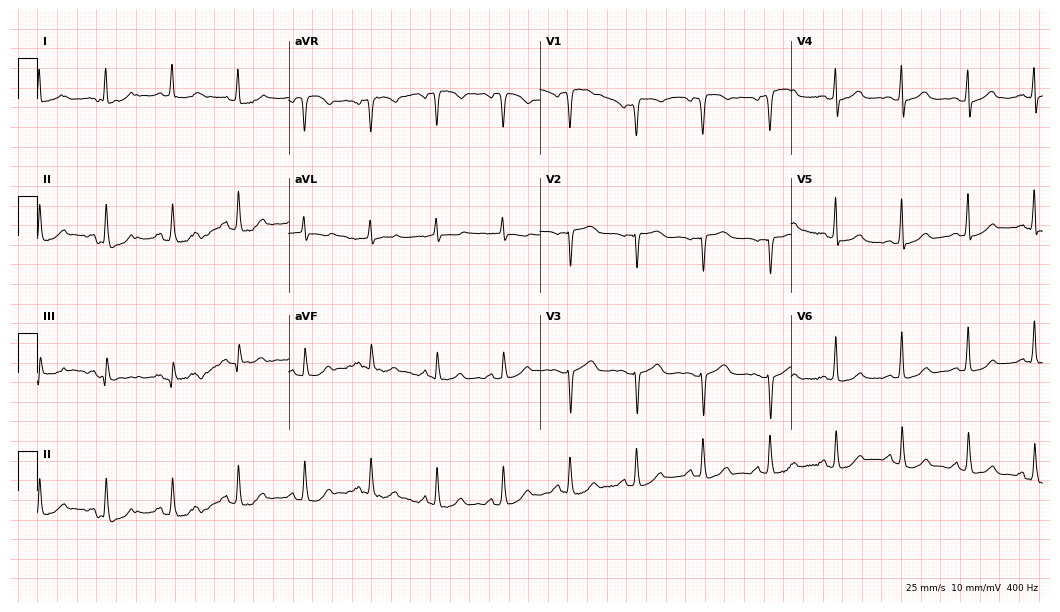
Electrocardiogram (10.2-second recording at 400 Hz), a 74-year-old woman. Of the six screened findings (first-degree AV block, right bundle branch block, left bundle branch block, sinus bradycardia, atrial fibrillation, sinus tachycardia), none is recorded. Other findings, if any, are not listed.